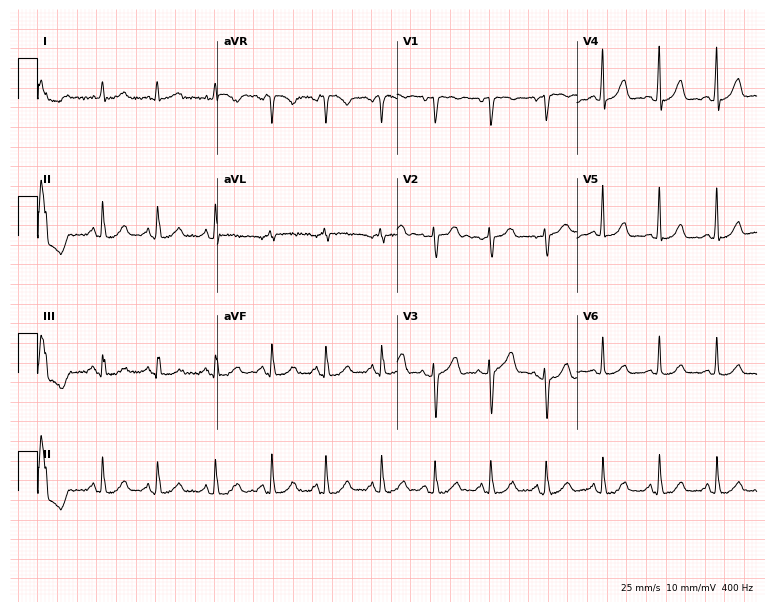
ECG — an 80-year-old woman. Findings include sinus tachycardia (a sinus rate of 100 beats per minute or more).